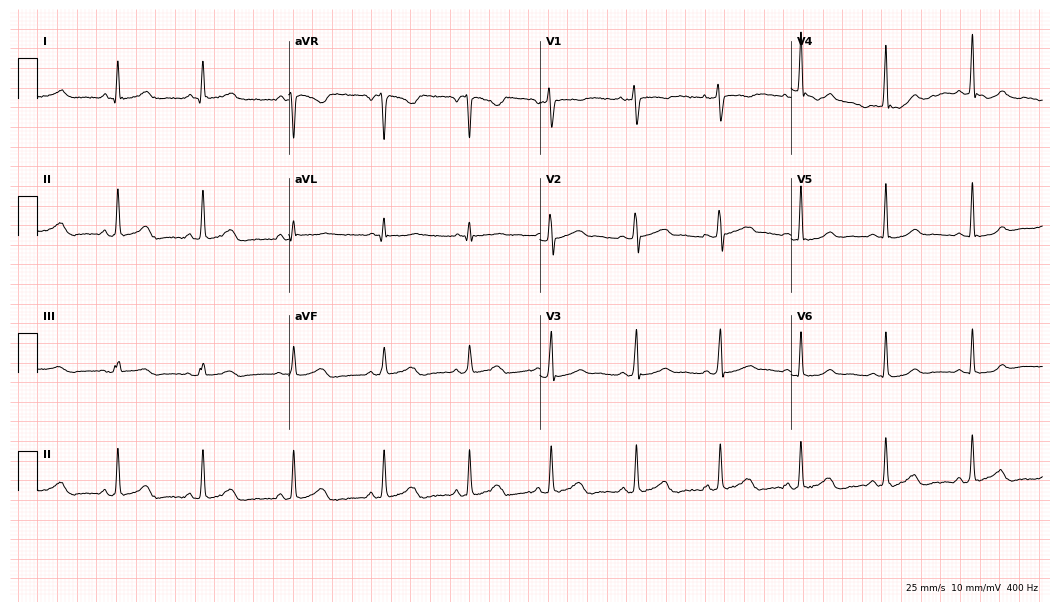
ECG — a female patient, 36 years old. Labelled as a normal ECG.